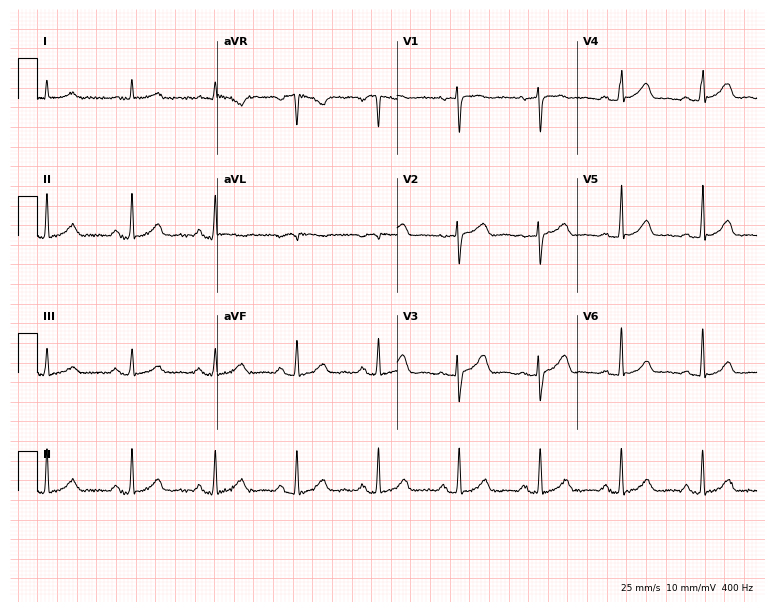
ECG — a 50-year-old female. Labelled as a normal ECG.